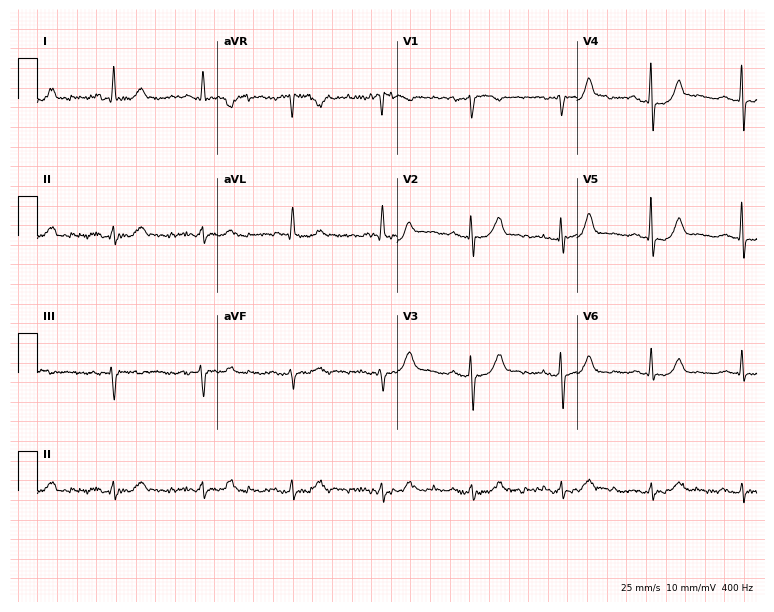
12-lead ECG from a male patient, 77 years old. Recorded interpretation: within normal limits.